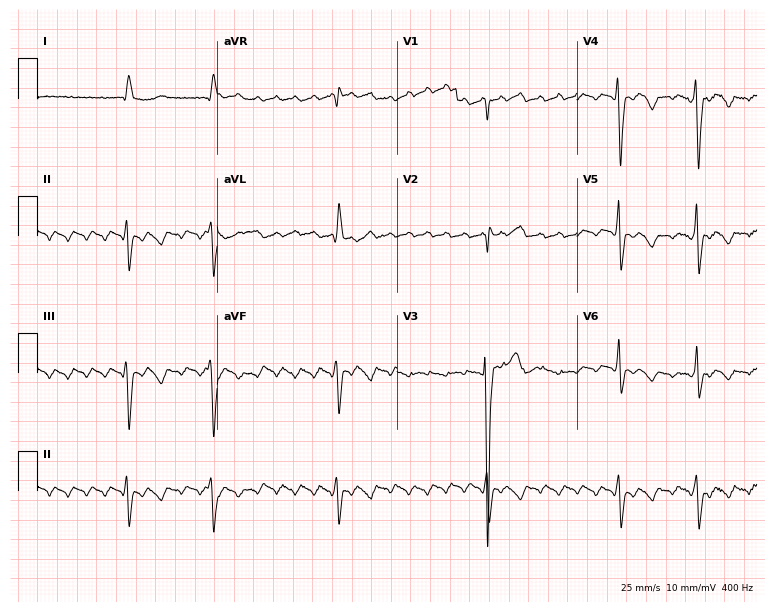
ECG (7.3-second recording at 400 Hz) — a man, 77 years old. Screened for six findings — first-degree AV block, right bundle branch block, left bundle branch block, sinus bradycardia, atrial fibrillation, sinus tachycardia — none is recorded. Other findings, if any, are not listed.